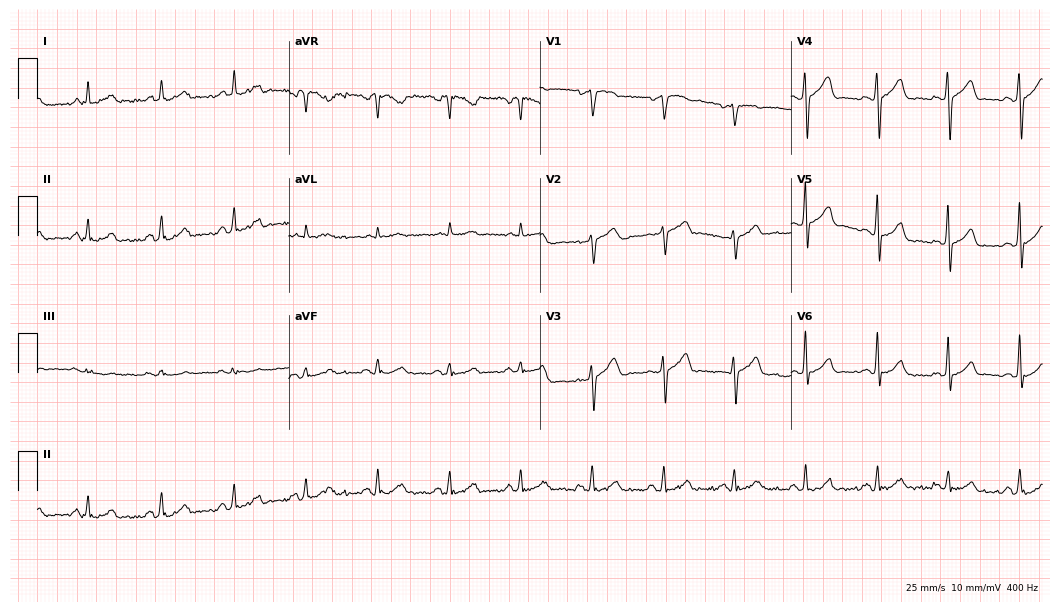
Resting 12-lead electrocardiogram. Patient: a male, 60 years old. Read as a normal ECG.